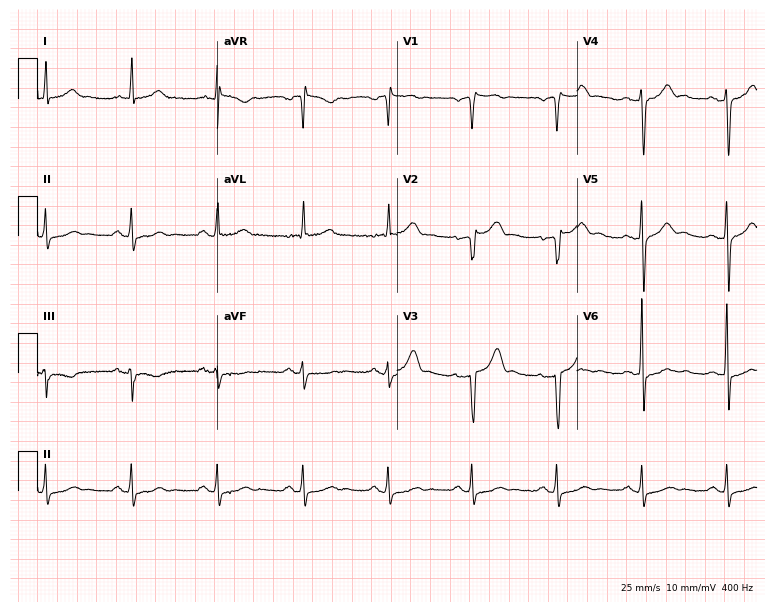
12-lead ECG from a 59-year-old male patient. No first-degree AV block, right bundle branch block (RBBB), left bundle branch block (LBBB), sinus bradycardia, atrial fibrillation (AF) or sinus tachycardia recorded for this tracing. Only these six findings were labelled.